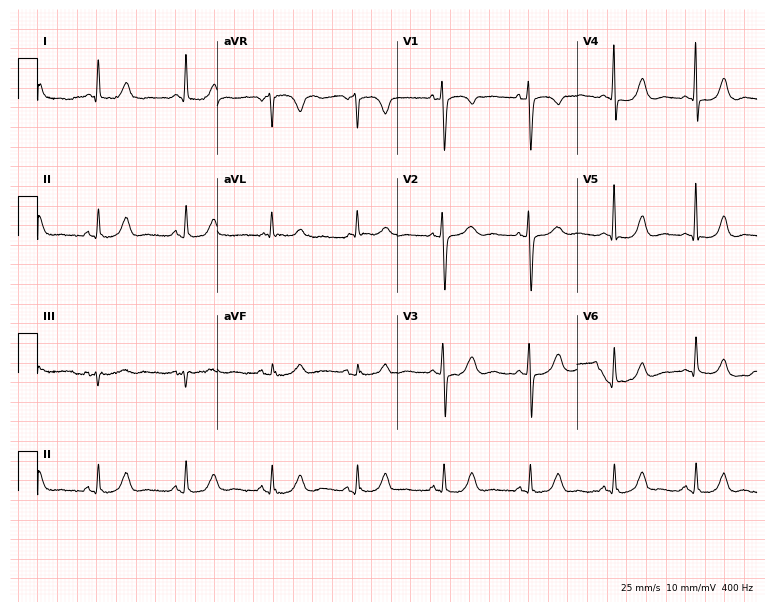
Standard 12-lead ECG recorded from a 57-year-old female patient (7.3-second recording at 400 Hz). None of these six findings is recorded: first-degree AV block, right bundle branch block, left bundle branch block, sinus bradycardia, atrial fibrillation, sinus tachycardia. Only these six findings were labelled.